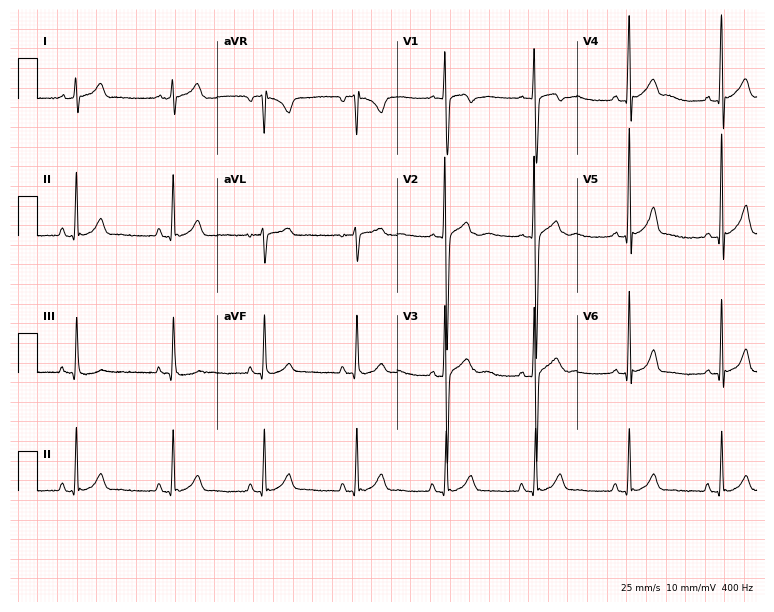
Resting 12-lead electrocardiogram. Patient: a 17-year-old male. Read as a normal ECG.